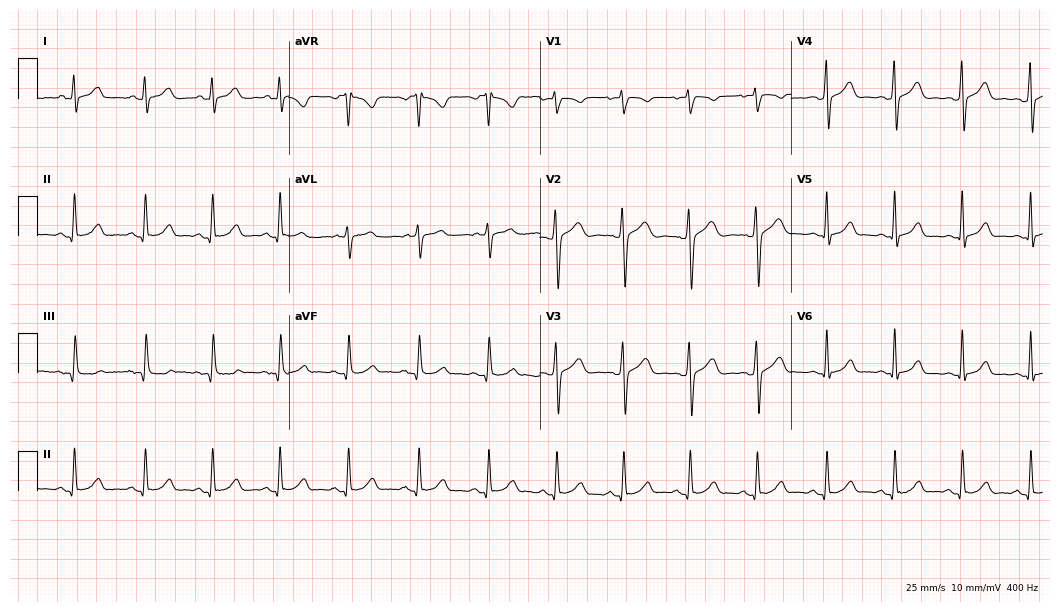
12-lead ECG from a female patient, 36 years old. Labelled as a normal ECG.